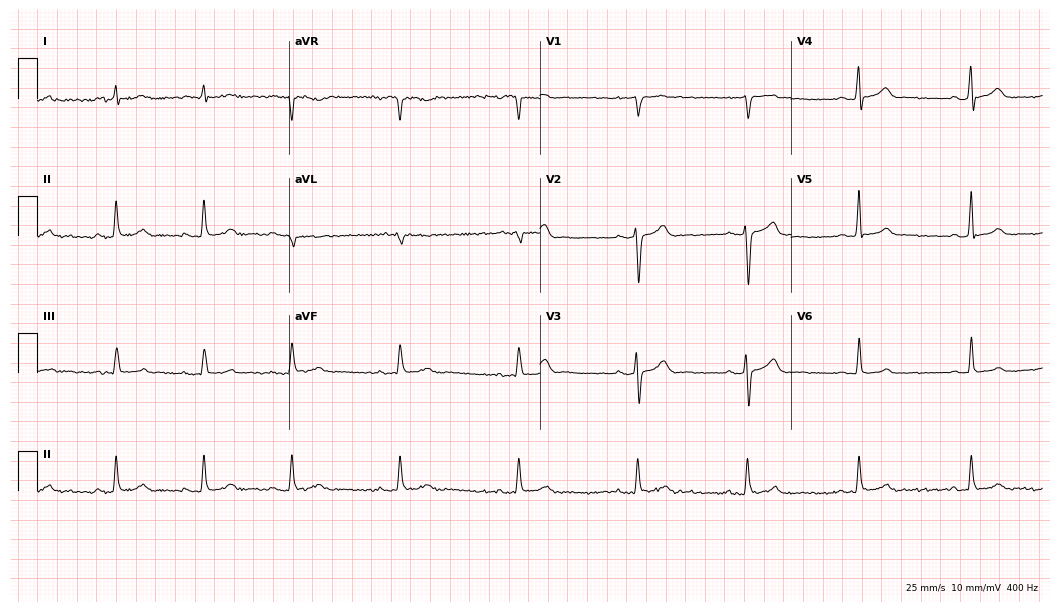
Electrocardiogram, a male patient, 45 years old. Overall reading on record: normal ECG.